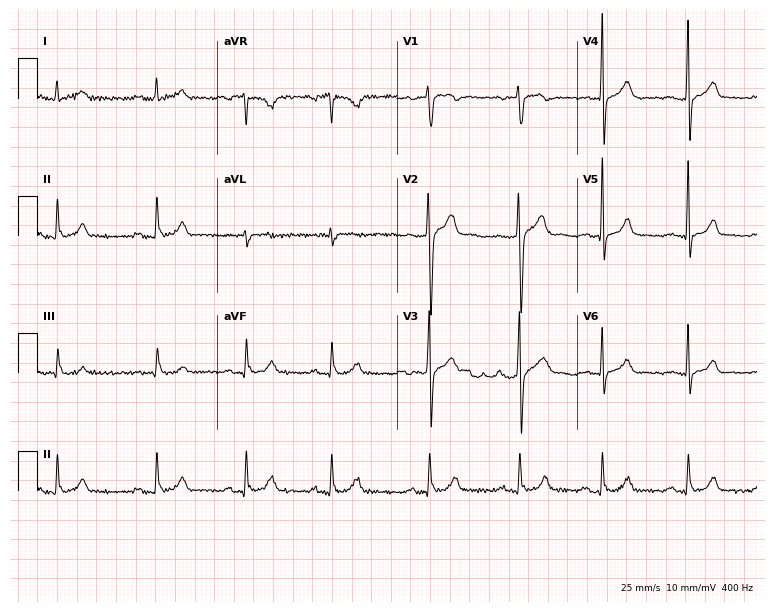
Standard 12-lead ECG recorded from a man, 27 years old (7.3-second recording at 400 Hz). Read as a normal ECG.